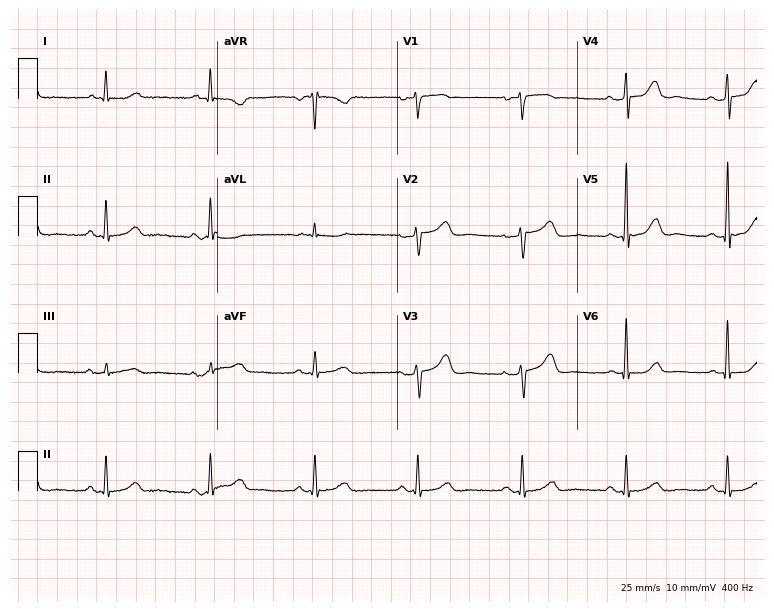
Resting 12-lead electrocardiogram. Patient: a 53-year-old female. Read as a normal ECG.